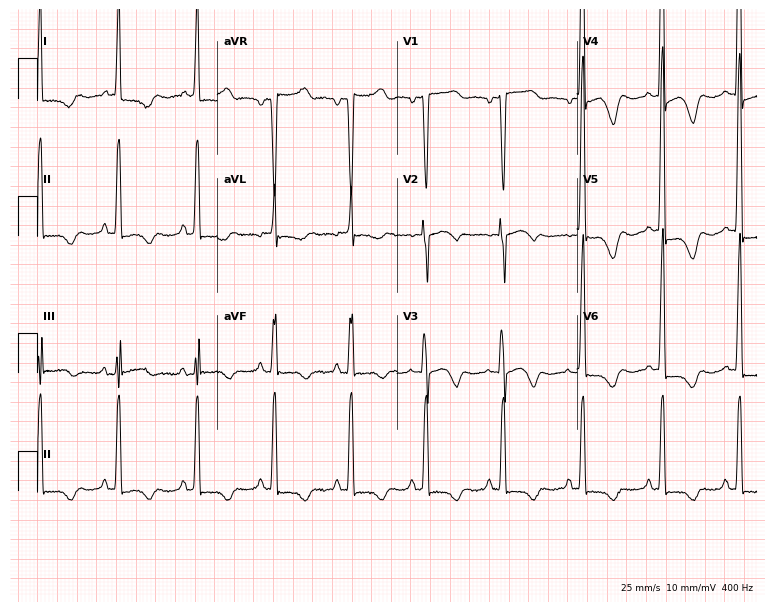
12-lead ECG (7.3-second recording at 400 Hz) from an 85-year-old woman. Screened for six findings — first-degree AV block, right bundle branch block (RBBB), left bundle branch block (LBBB), sinus bradycardia, atrial fibrillation (AF), sinus tachycardia — none is recorded. Other findings, if any, are not listed.